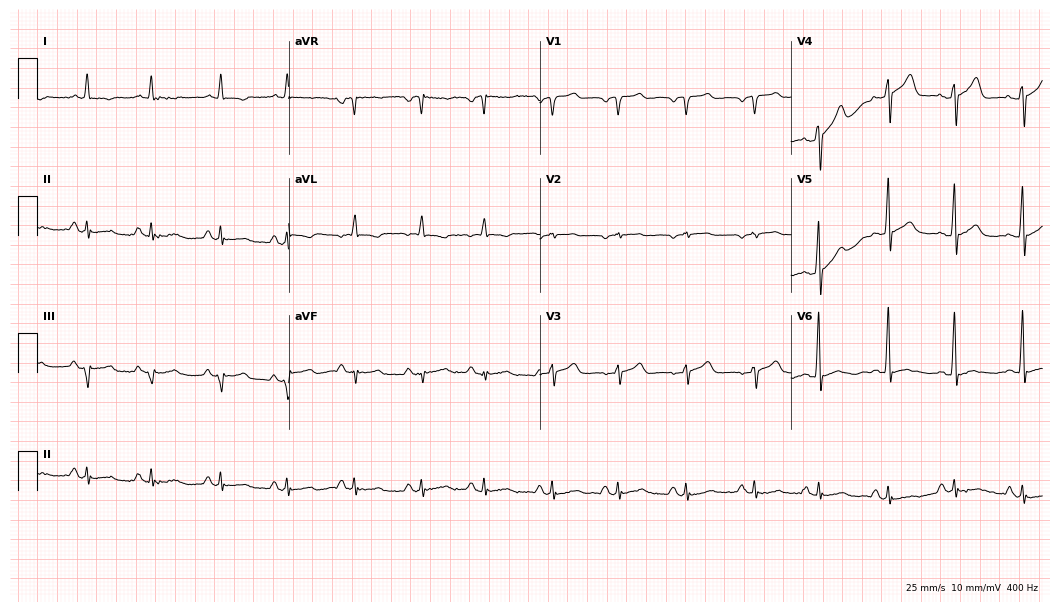
Electrocardiogram (10.2-second recording at 400 Hz), a male, 63 years old. Of the six screened findings (first-degree AV block, right bundle branch block, left bundle branch block, sinus bradycardia, atrial fibrillation, sinus tachycardia), none is recorded.